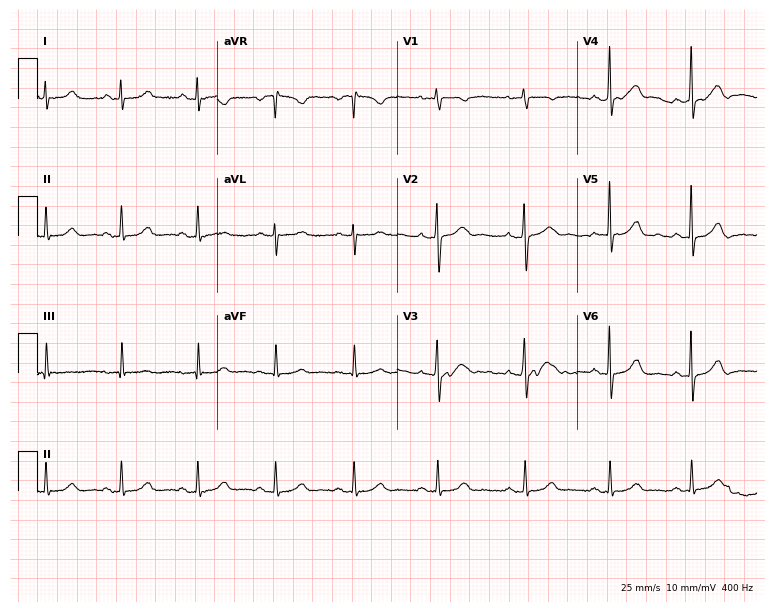
ECG — a 43-year-old woman. Labelled as a normal ECG.